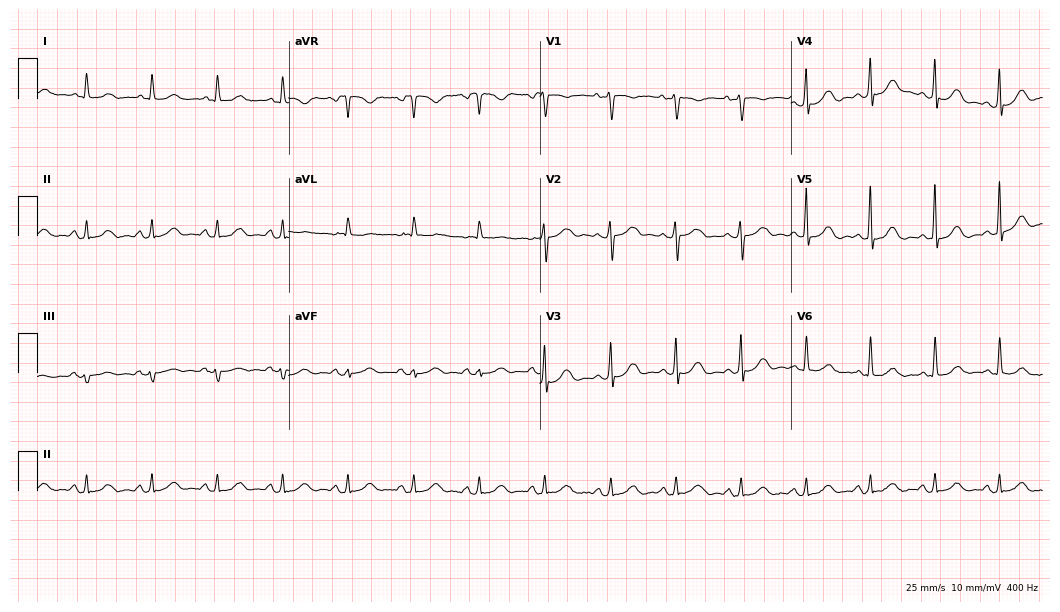
12-lead ECG (10.2-second recording at 400 Hz) from an 85-year-old female. Labelled as a normal ECG.